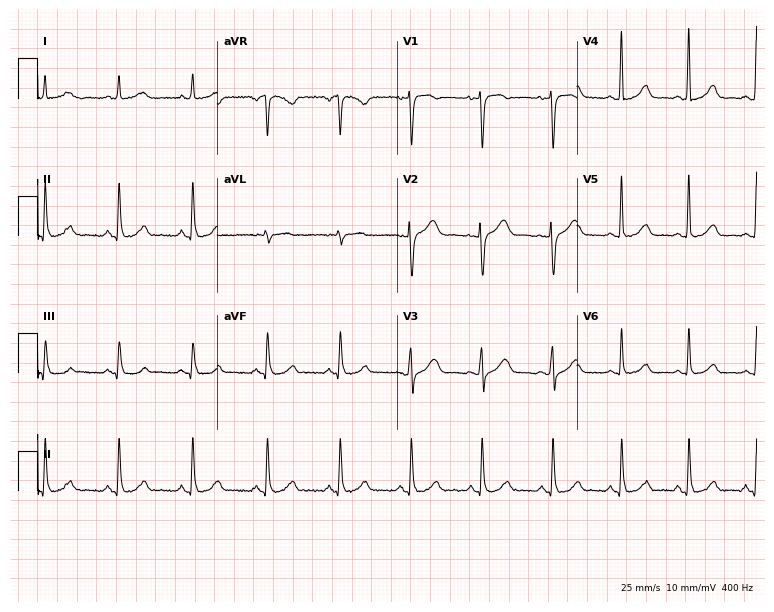
12-lead ECG from a 47-year-old female (7.3-second recording at 400 Hz). Recorded interpretation: within normal limits.